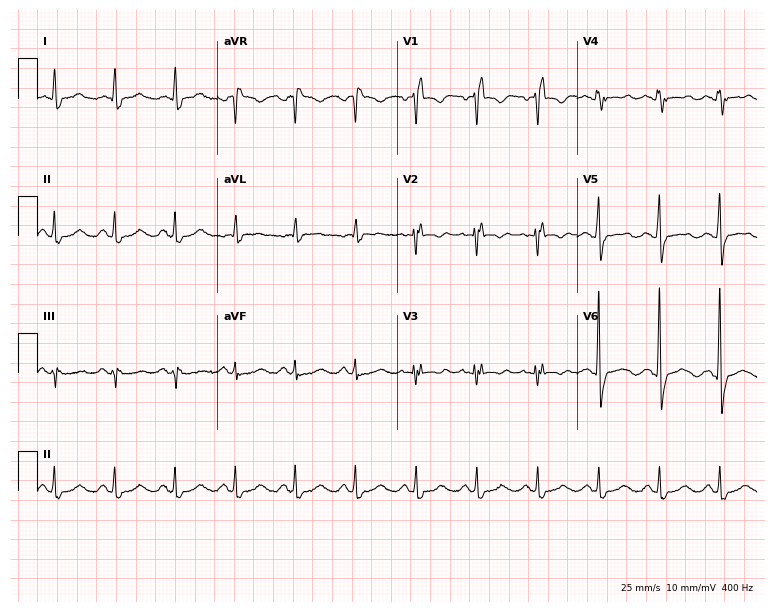
Standard 12-lead ECG recorded from a 66-year-old female. The tracing shows right bundle branch block.